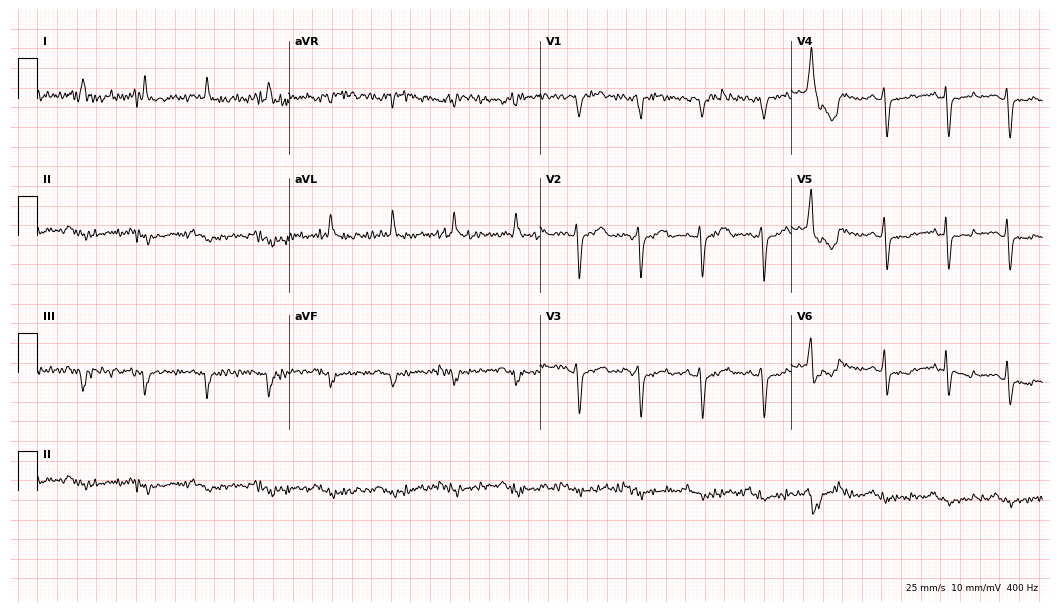
Resting 12-lead electrocardiogram (10.2-second recording at 400 Hz). Patient: a male, 69 years old. None of these six findings is recorded: first-degree AV block, right bundle branch block, left bundle branch block, sinus bradycardia, atrial fibrillation, sinus tachycardia. Only these six findings were labelled.